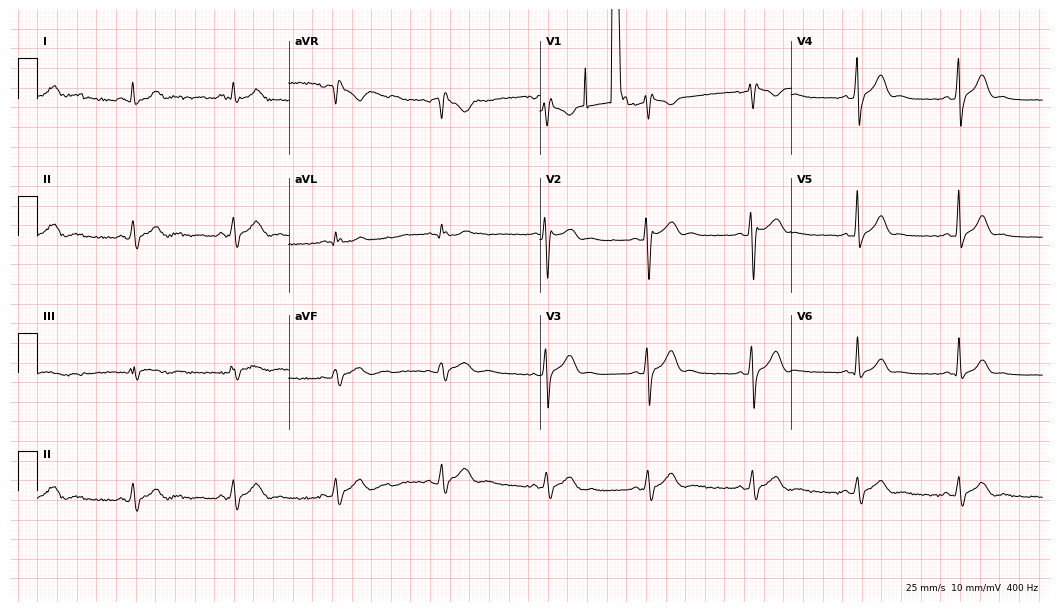
Electrocardiogram, a male, 30 years old. Of the six screened findings (first-degree AV block, right bundle branch block, left bundle branch block, sinus bradycardia, atrial fibrillation, sinus tachycardia), none is recorded.